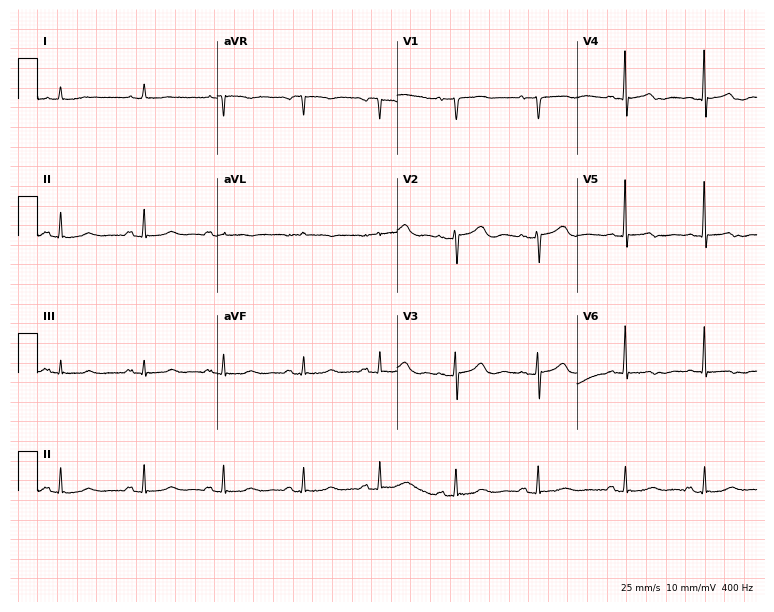
12-lead ECG from a woman, 84 years old. Labelled as a normal ECG.